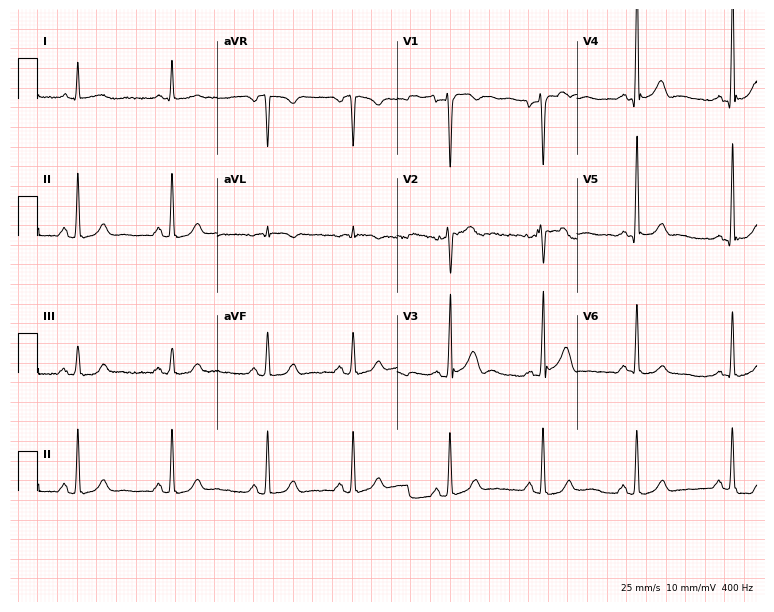
Electrocardiogram (7.3-second recording at 400 Hz), a male, 69 years old. Of the six screened findings (first-degree AV block, right bundle branch block, left bundle branch block, sinus bradycardia, atrial fibrillation, sinus tachycardia), none is recorded. Other findings, if any, are not listed.